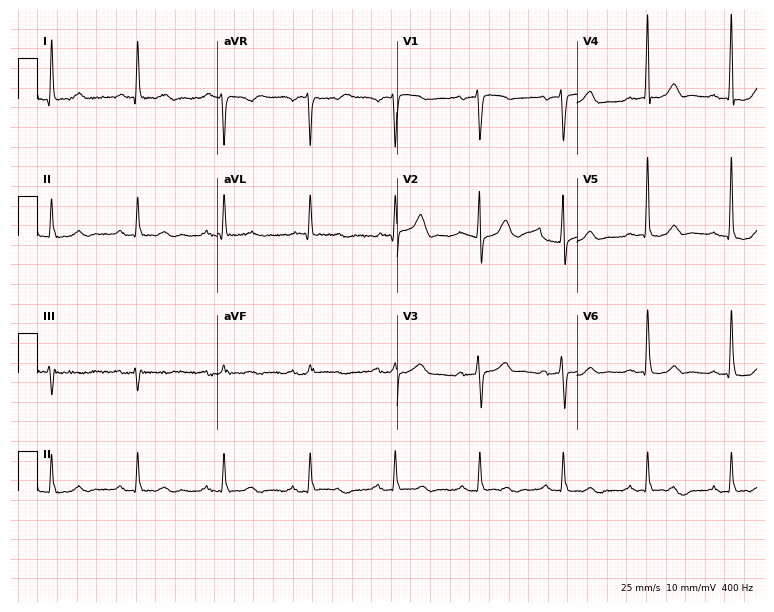
Resting 12-lead electrocardiogram (7.3-second recording at 400 Hz). Patient: a 72-year-old male. None of these six findings is recorded: first-degree AV block, right bundle branch block, left bundle branch block, sinus bradycardia, atrial fibrillation, sinus tachycardia.